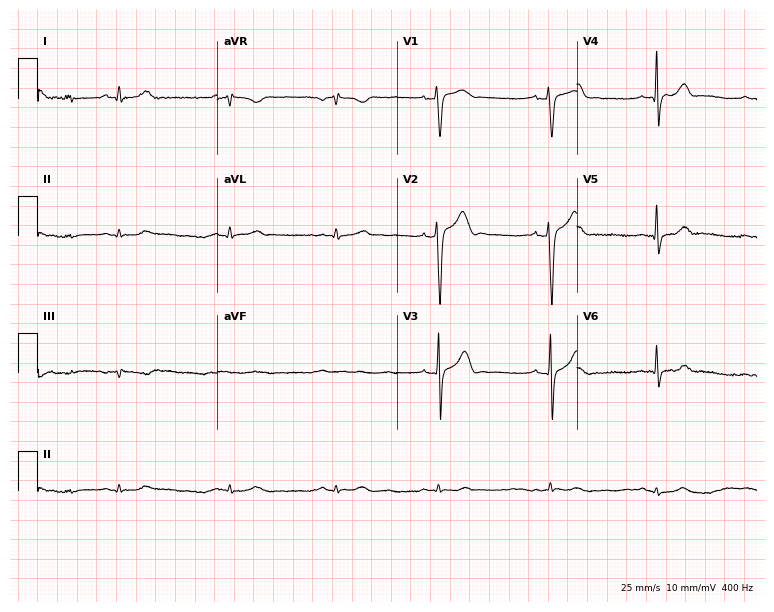
ECG (7.3-second recording at 400 Hz) — a man, 28 years old. Labelled as a normal ECG.